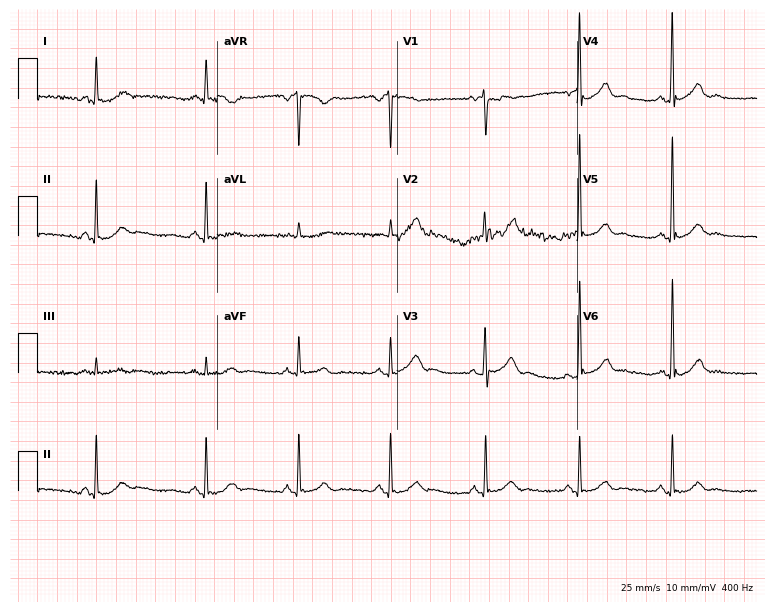
12-lead ECG from a male, 59 years old. Screened for six findings — first-degree AV block, right bundle branch block, left bundle branch block, sinus bradycardia, atrial fibrillation, sinus tachycardia — none is recorded. Findings outside these six are not listed.